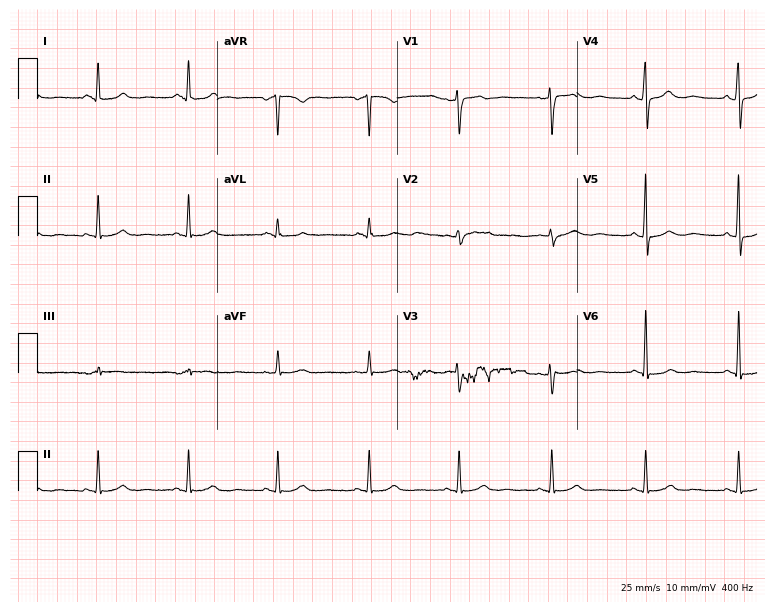
Standard 12-lead ECG recorded from a female, 43 years old (7.3-second recording at 400 Hz). Read as a normal ECG.